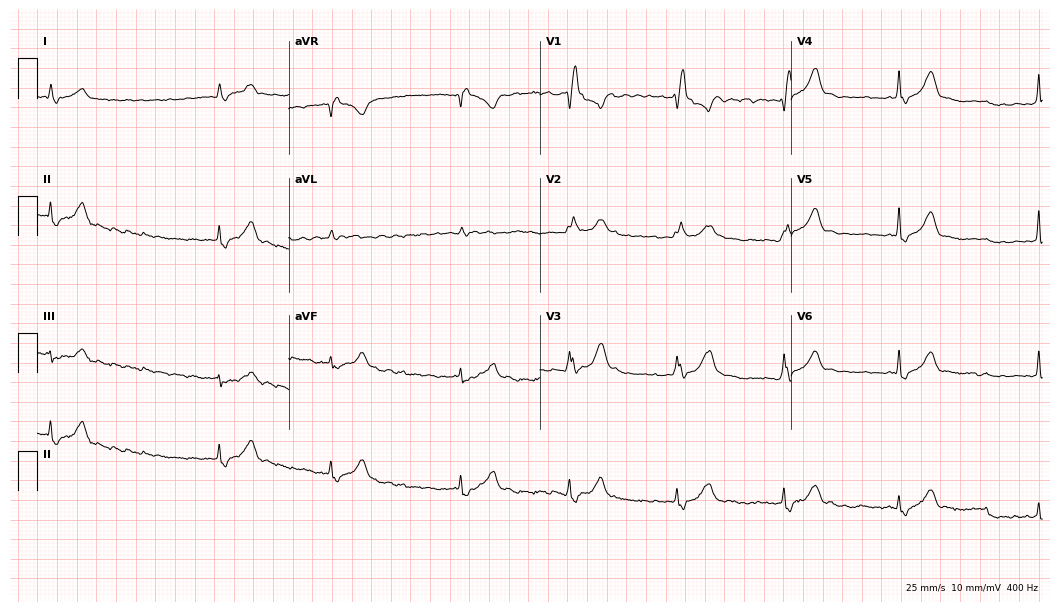
12-lead ECG from a male, 78 years old. Shows right bundle branch block, atrial fibrillation.